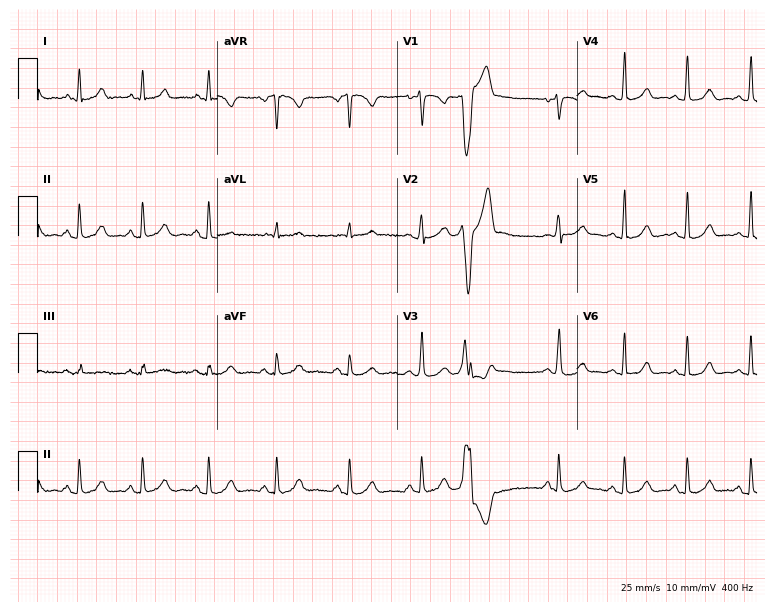
12-lead ECG (7.3-second recording at 400 Hz) from a female, 31 years old. Labelled as a normal ECG.